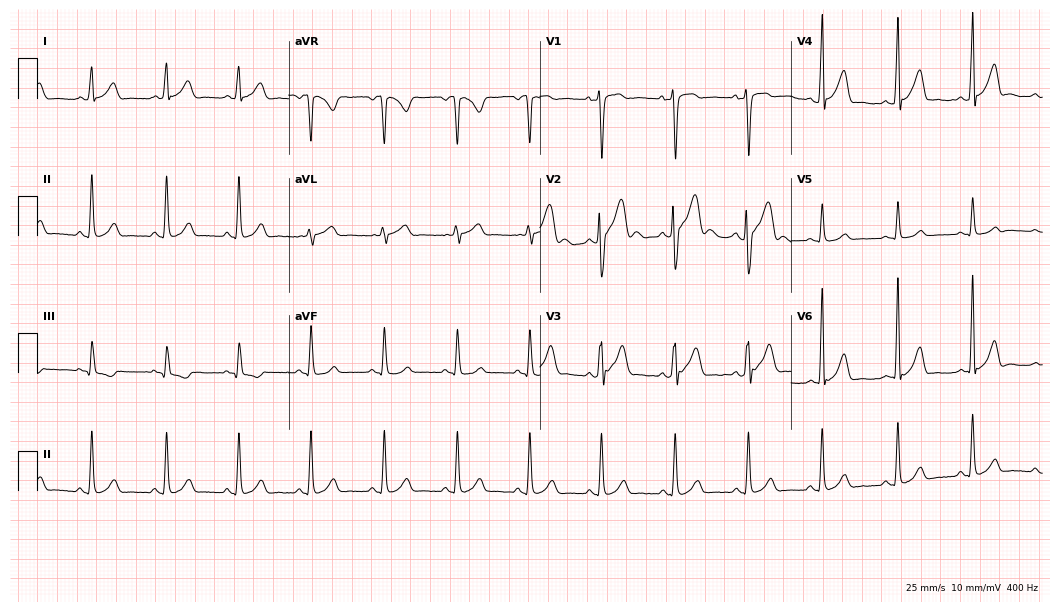
Standard 12-lead ECG recorded from a 28-year-old man (10.2-second recording at 400 Hz). Read as a normal ECG.